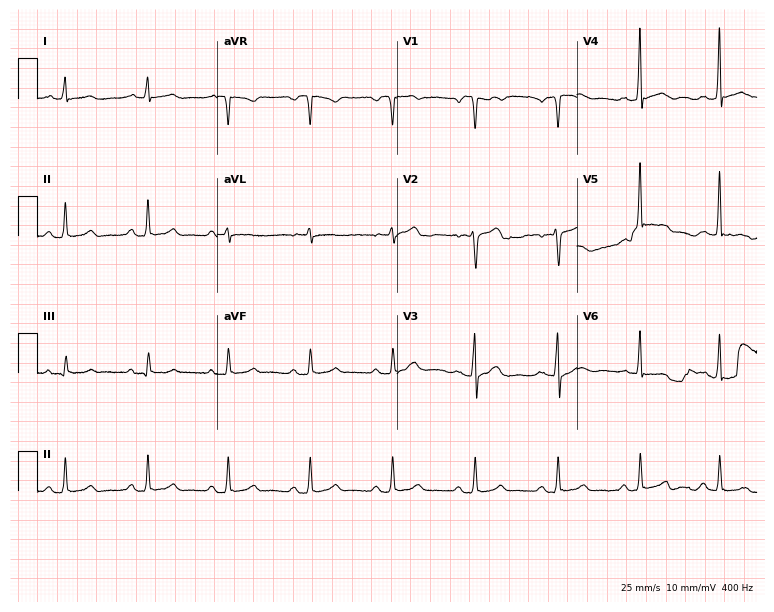
12-lead ECG from a 40-year-old male. Labelled as a normal ECG.